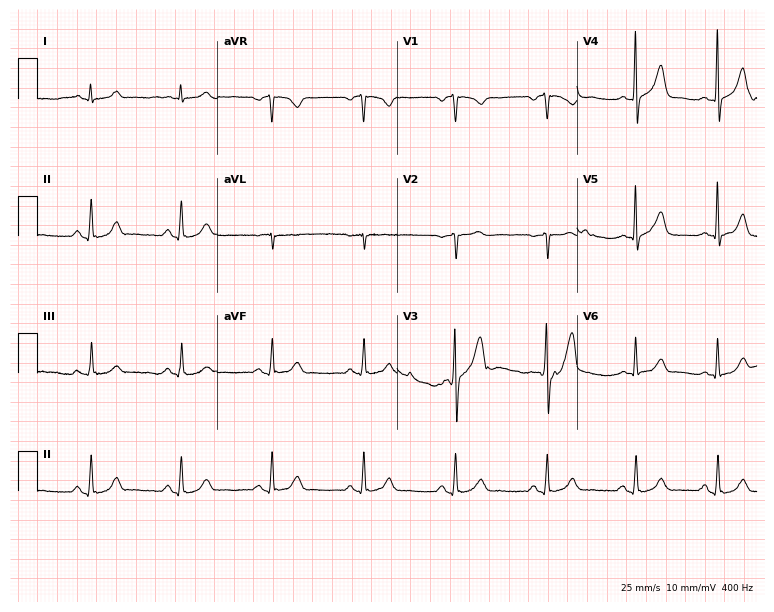
Electrocardiogram, a female patient, 60 years old. Overall reading on record: normal ECG.